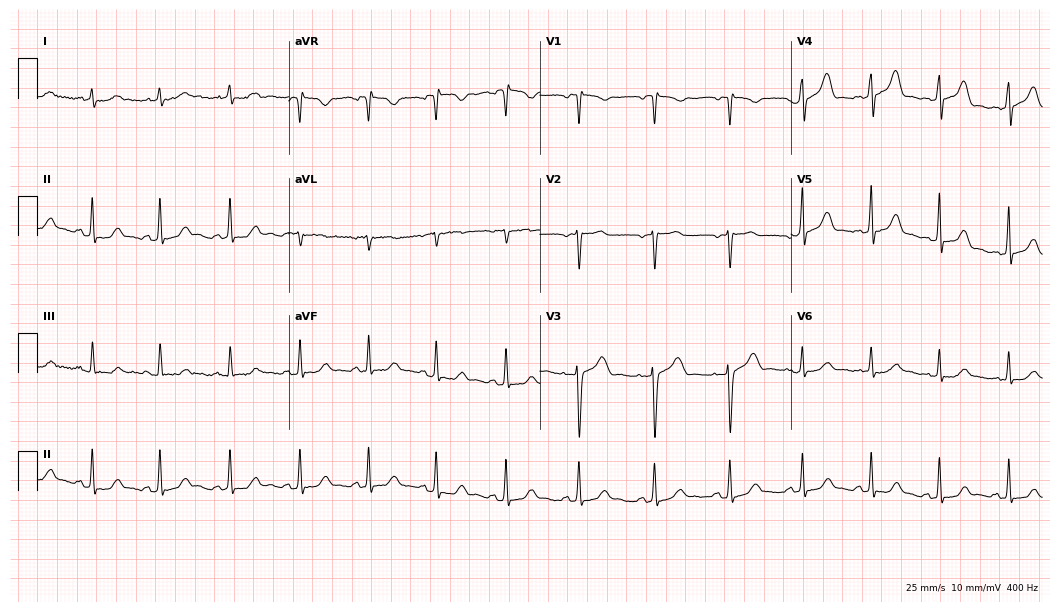
Standard 12-lead ECG recorded from a female patient, 33 years old (10.2-second recording at 400 Hz). Read as a normal ECG.